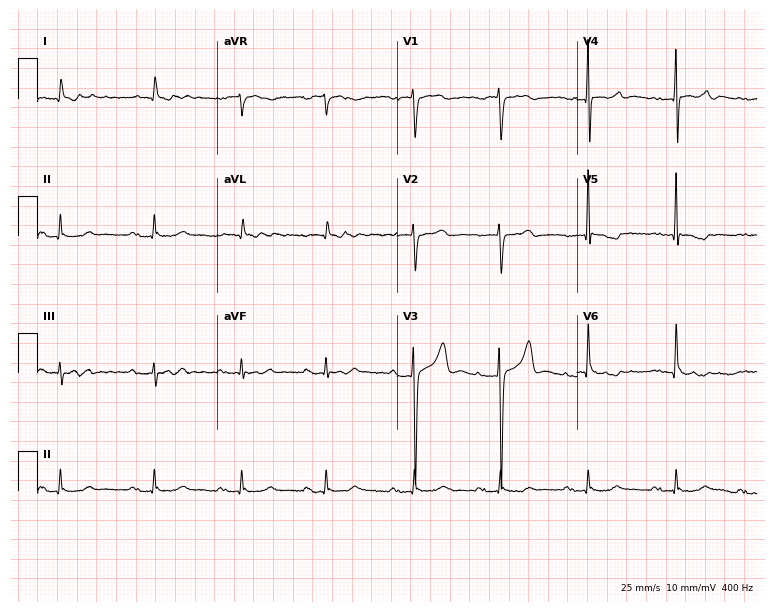
Resting 12-lead electrocardiogram. Patient: a man, 75 years old. None of these six findings is recorded: first-degree AV block, right bundle branch block (RBBB), left bundle branch block (LBBB), sinus bradycardia, atrial fibrillation (AF), sinus tachycardia.